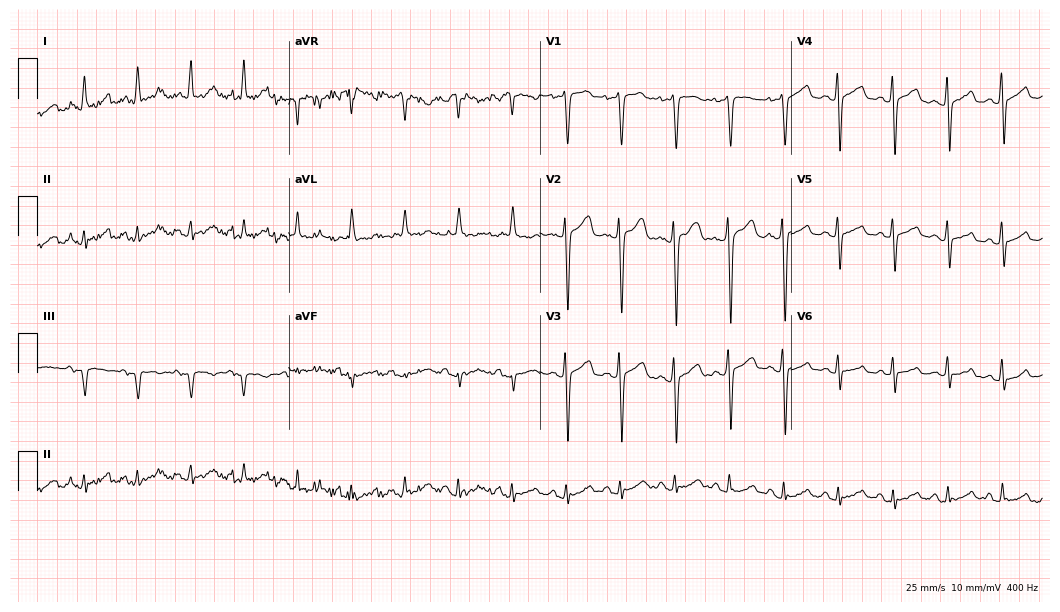
ECG (10.2-second recording at 400 Hz) — a male, 34 years old. Findings include sinus tachycardia (a sinus rate of 100 beats per minute or more).